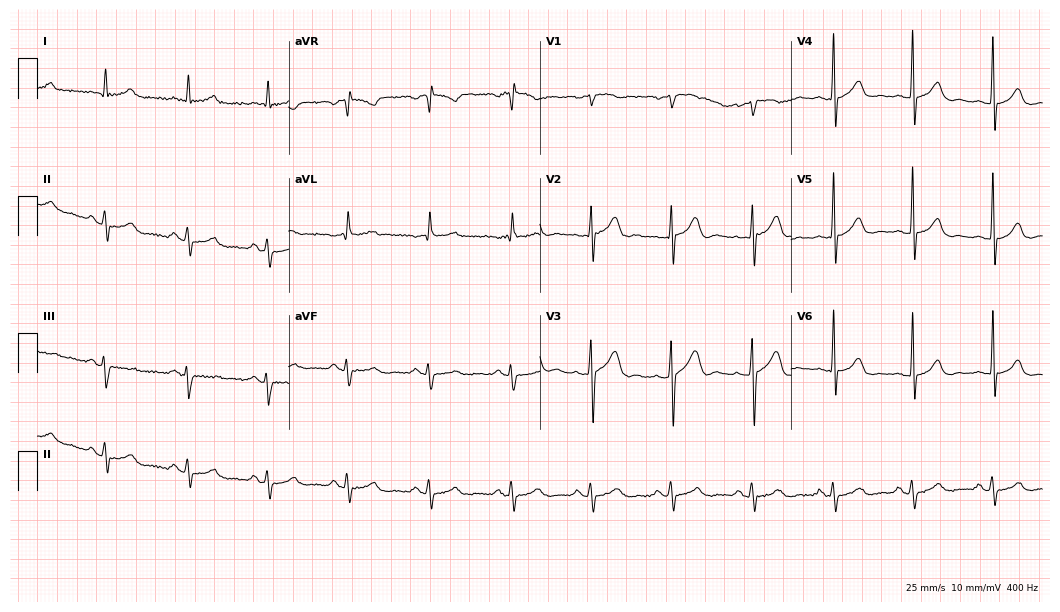
Electrocardiogram, a man, 61 years old. Of the six screened findings (first-degree AV block, right bundle branch block (RBBB), left bundle branch block (LBBB), sinus bradycardia, atrial fibrillation (AF), sinus tachycardia), none is recorded. Only these six findings were labelled.